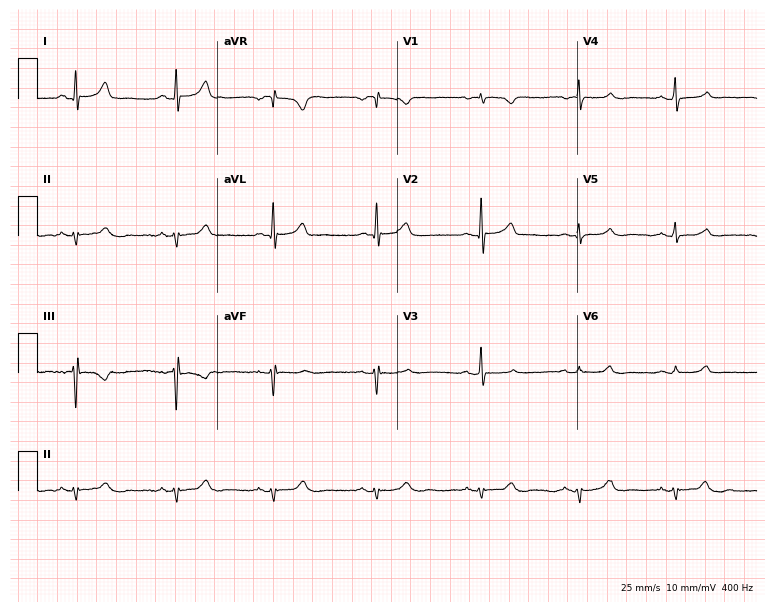
Standard 12-lead ECG recorded from a 58-year-old female. None of these six findings is recorded: first-degree AV block, right bundle branch block (RBBB), left bundle branch block (LBBB), sinus bradycardia, atrial fibrillation (AF), sinus tachycardia.